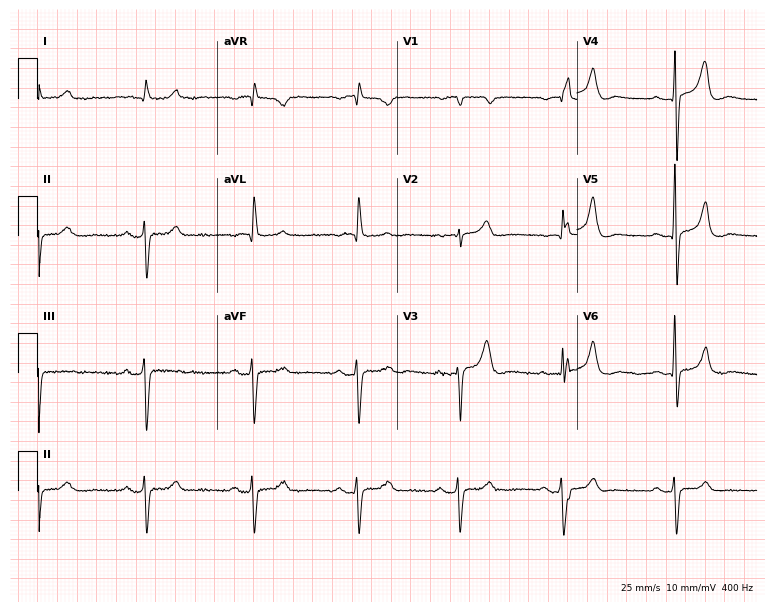
Resting 12-lead electrocardiogram. Patient: a 79-year-old man. None of these six findings is recorded: first-degree AV block, right bundle branch block, left bundle branch block, sinus bradycardia, atrial fibrillation, sinus tachycardia. Other findings, if any, are not listed.